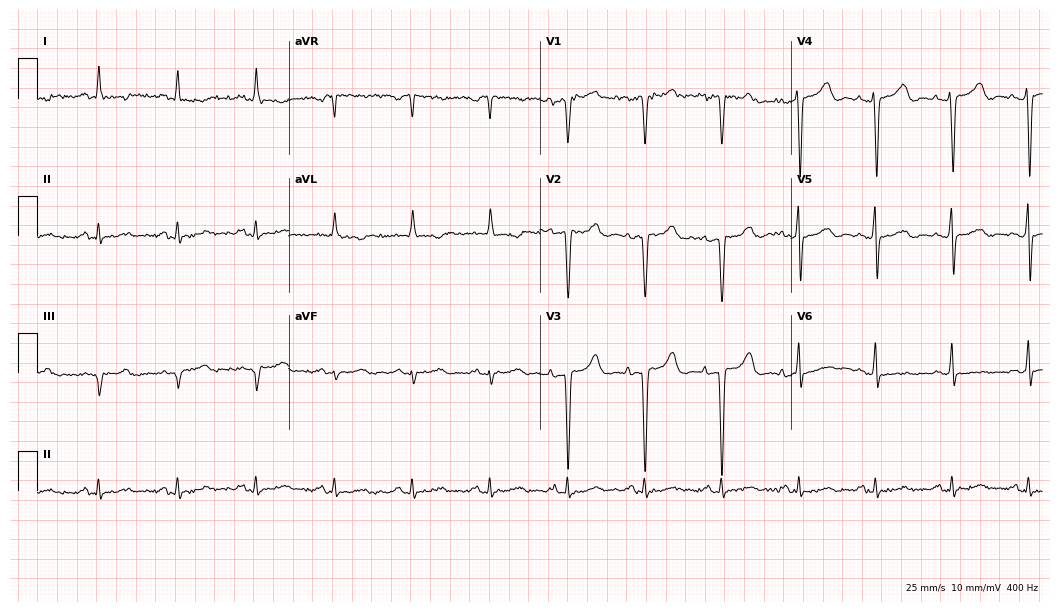
12-lead ECG (10.2-second recording at 400 Hz) from a 60-year-old female patient. Screened for six findings — first-degree AV block, right bundle branch block, left bundle branch block, sinus bradycardia, atrial fibrillation, sinus tachycardia — none is recorded. Other findings, if any, are not listed.